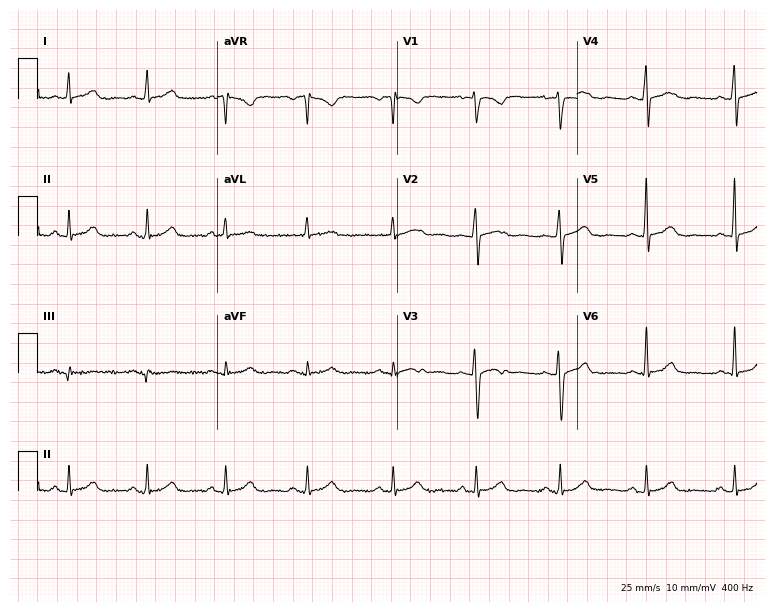
Resting 12-lead electrocardiogram. Patient: a 29-year-old female. None of these six findings is recorded: first-degree AV block, right bundle branch block, left bundle branch block, sinus bradycardia, atrial fibrillation, sinus tachycardia.